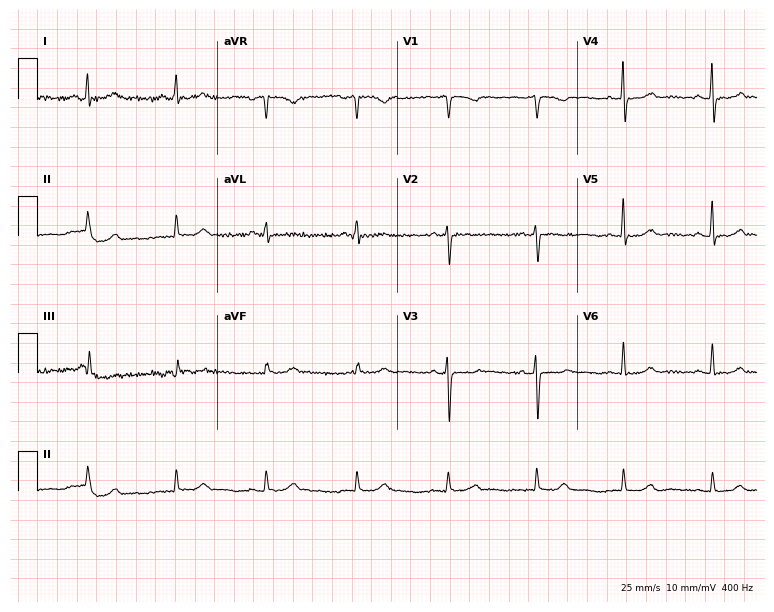
Resting 12-lead electrocardiogram. Patient: a 68-year-old woman. None of these six findings is recorded: first-degree AV block, right bundle branch block (RBBB), left bundle branch block (LBBB), sinus bradycardia, atrial fibrillation (AF), sinus tachycardia. Only these six findings were labelled.